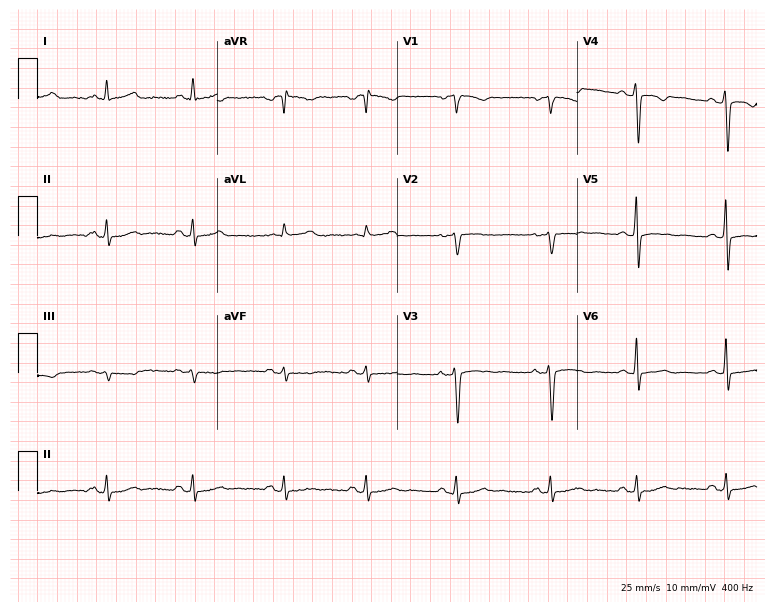
Standard 12-lead ECG recorded from a 25-year-old female. None of these six findings is recorded: first-degree AV block, right bundle branch block, left bundle branch block, sinus bradycardia, atrial fibrillation, sinus tachycardia.